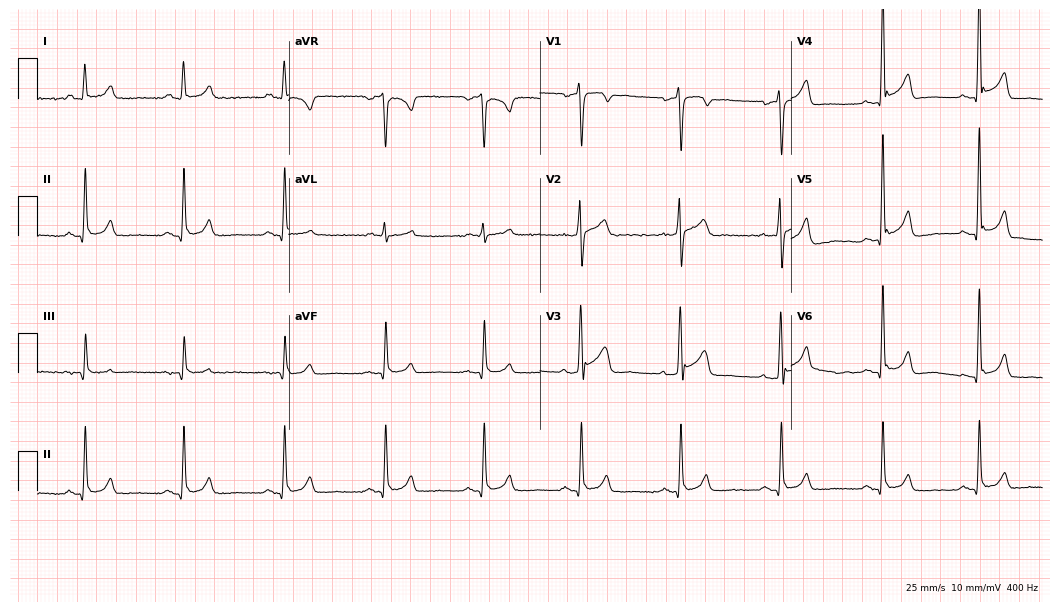
Standard 12-lead ECG recorded from a male, 42 years old (10.2-second recording at 400 Hz). None of these six findings is recorded: first-degree AV block, right bundle branch block, left bundle branch block, sinus bradycardia, atrial fibrillation, sinus tachycardia.